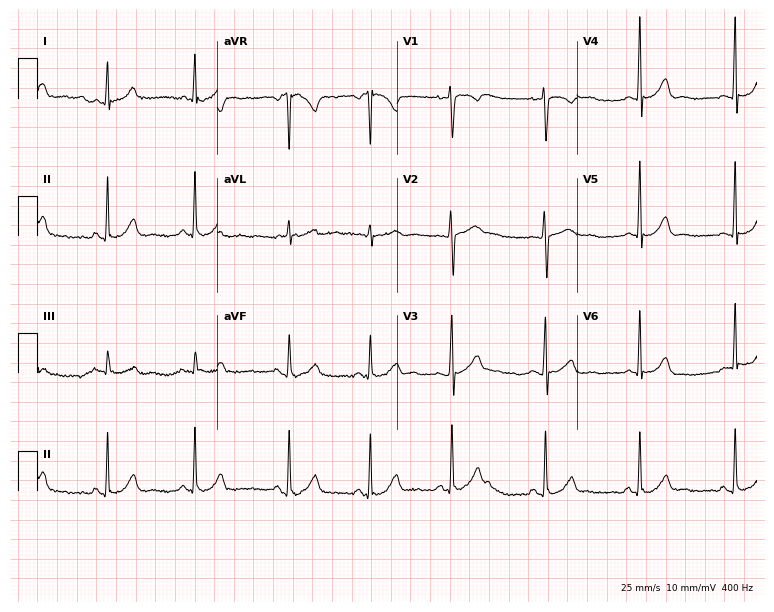
Standard 12-lead ECG recorded from a woman, 18 years old. Read as a normal ECG.